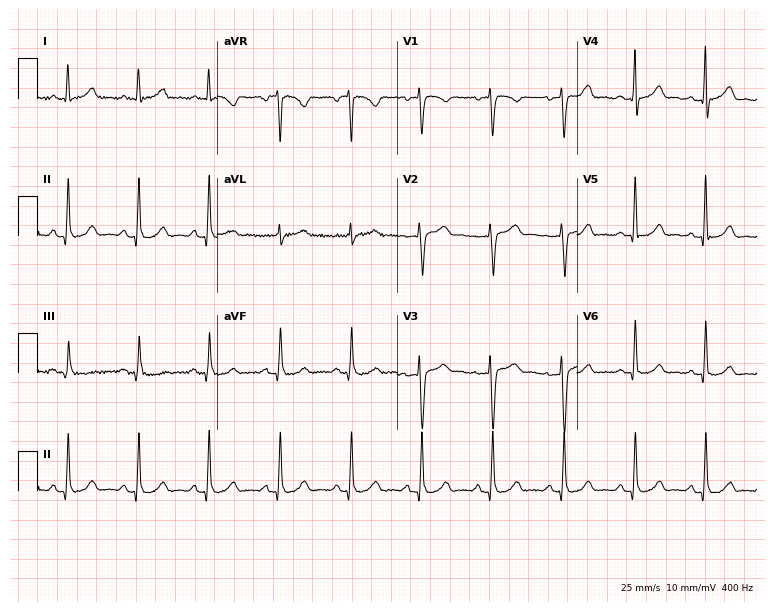
Electrocardiogram, a female patient, 46 years old. Overall reading on record: normal ECG.